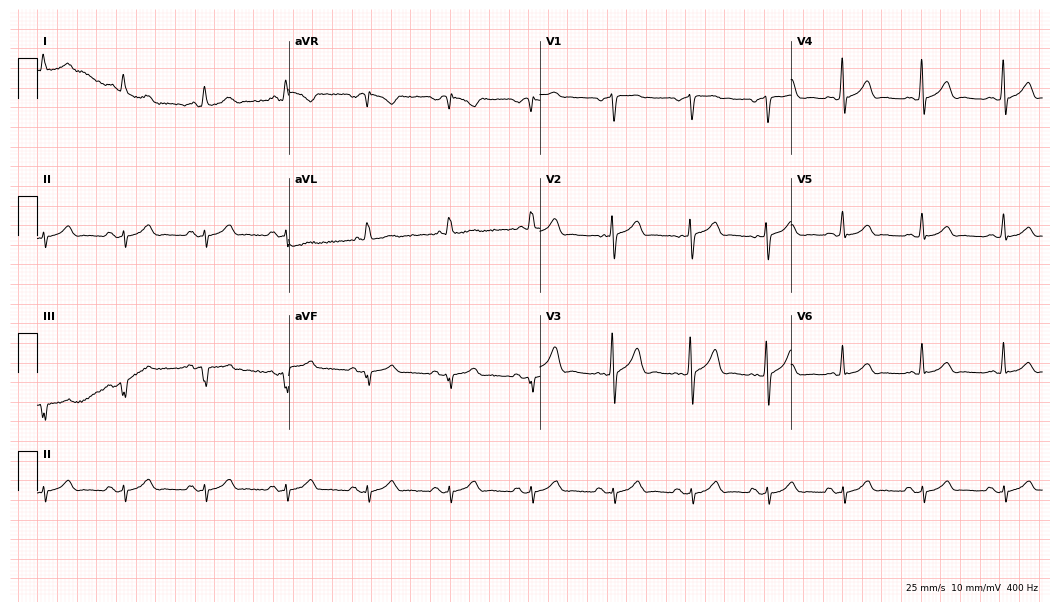
Resting 12-lead electrocardiogram (10.2-second recording at 400 Hz). Patient: a 60-year-old man. Read as a normal ECG.